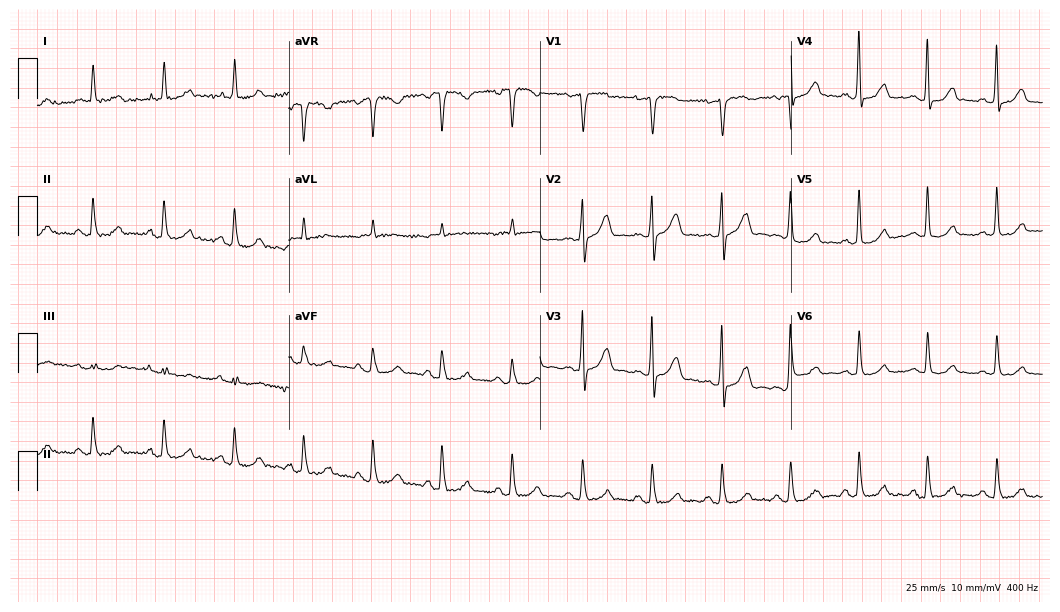
12-lead ECG from a female patient, 74 years old. Labelled as a normal ECG.